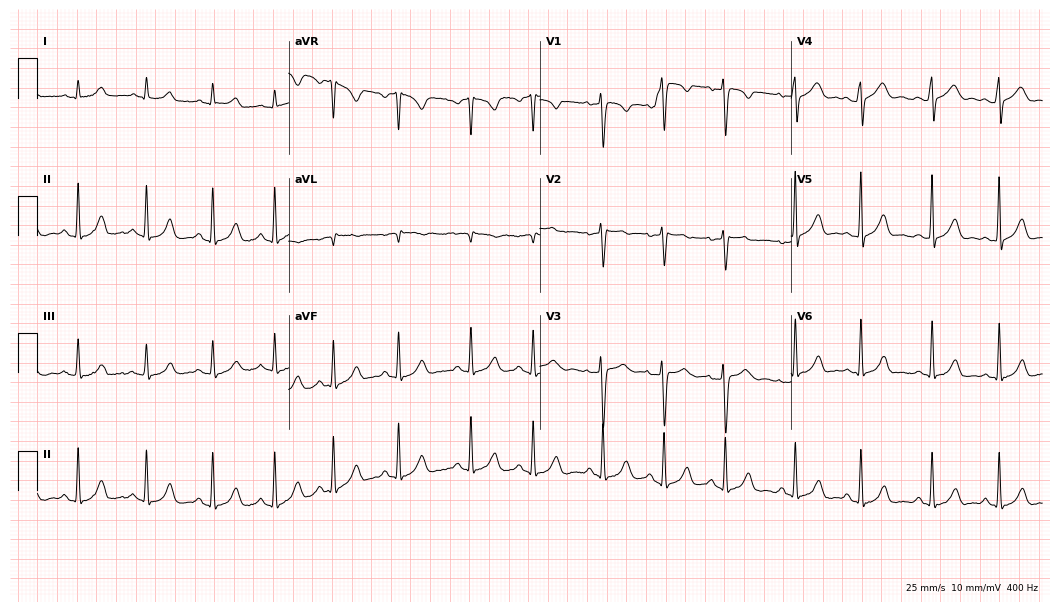
12-lead ECG from a 27-year-old woman (10.2-second recording at 400 Hz). Recorded interpretation: within normal limits.